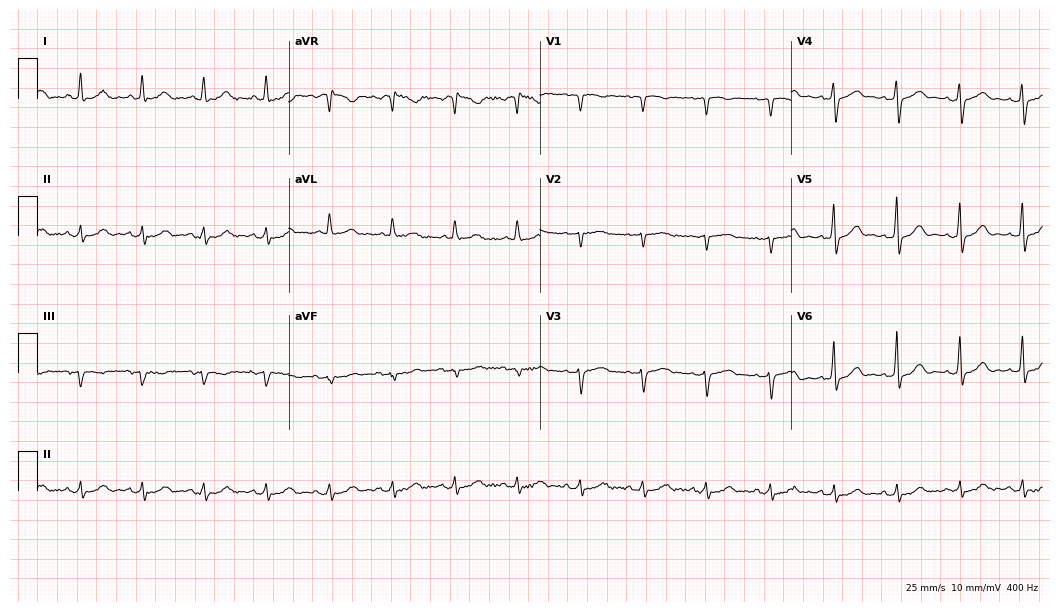
ECG (10.2-second recording at 400 Hz) — a 66-year-old female patient. Screened for six findings — first-degree AV block, right bundle branch block, left bundle branch block, sinus bradycardia, atrial fibrillation, sinus tachycardia — none is recorded. Only these six findings were labelled.